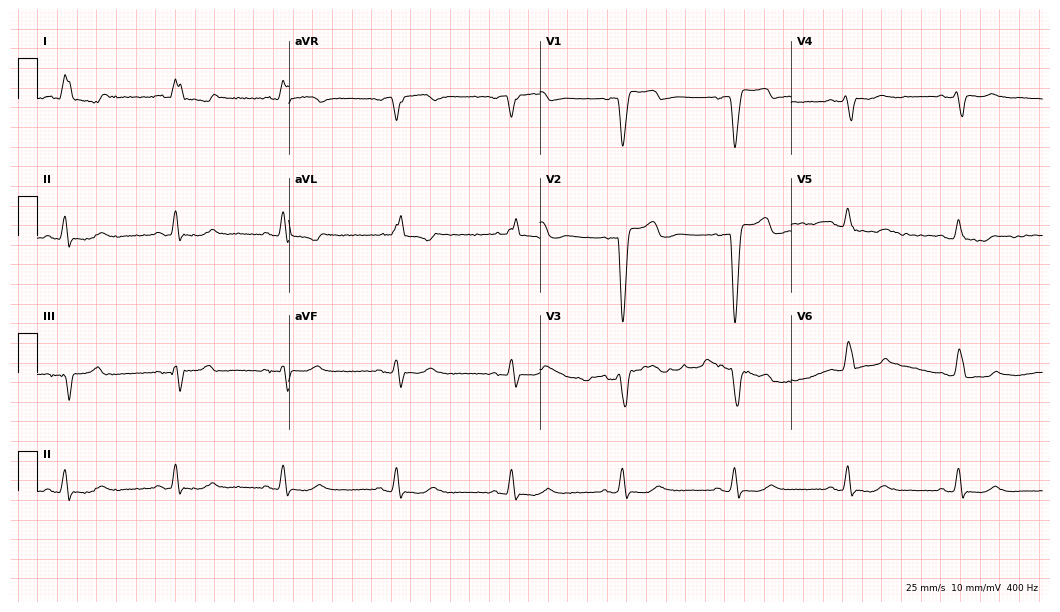
12-lead ECG (10.2-second recording at 400 Hz) from an 83-year-old female patient. Findings include left bundle branch block.